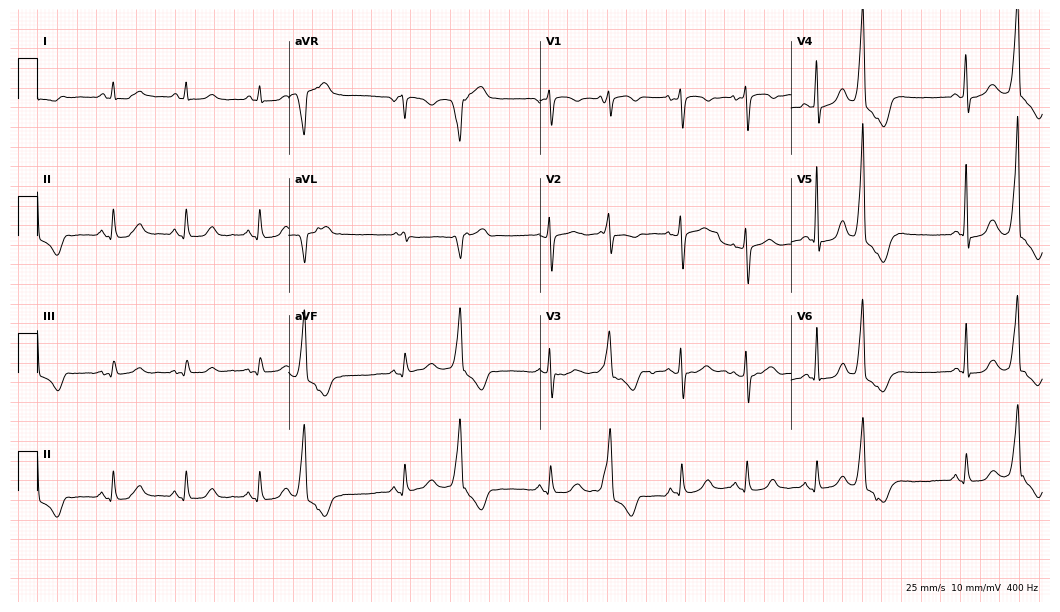
Electrocardiogram, a 74-year-old female patient. Of the six screened findings (first-degree AV block, right bundle branch block, left bundle branch block, sinus bradycardia, atrial fibrillation, sinus tachycardia), none is recorded.